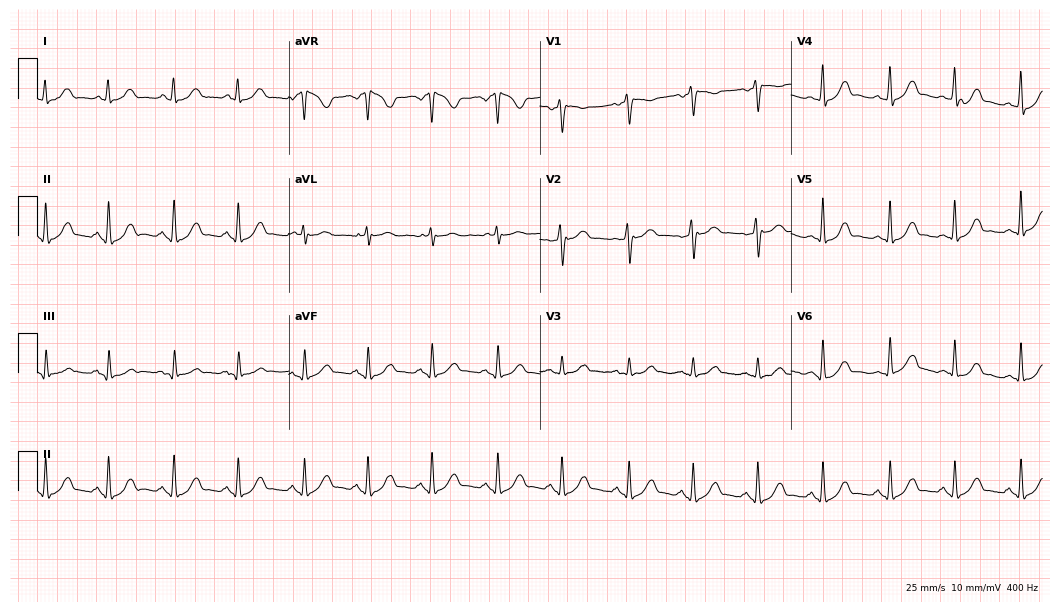
Electrocardiogram (10.2-second recording at 400 Hz), a 46-year-old female. Overall reading on record: normal ECG.